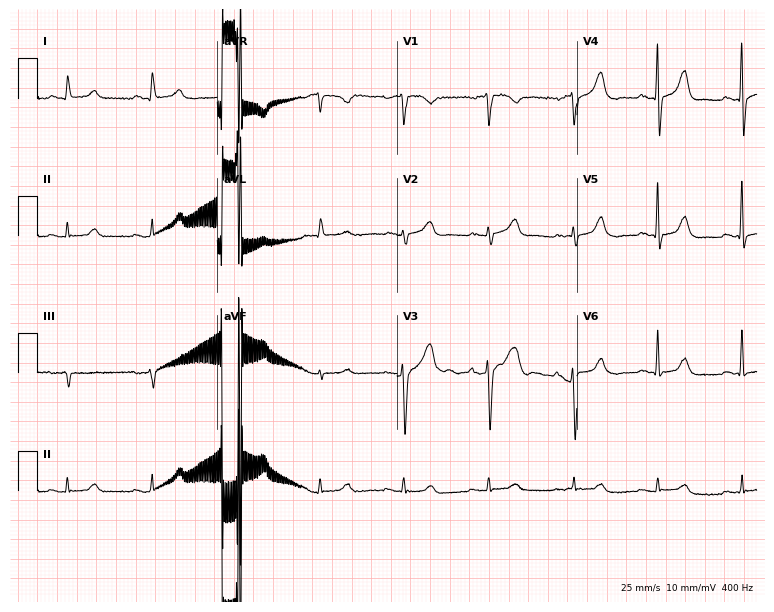
Standard 12-lead ECG recorded from a male, 67 years old (7.3-second recording at 400 Hz). None of these six findings is recorded: first-degree AV block, right bundle branch block (RBBB), left bundle branch block (LBBB), sinus bradycardia, atrial fibrillation (AF), sinus tachycardia. Findings outside these six are not listed.